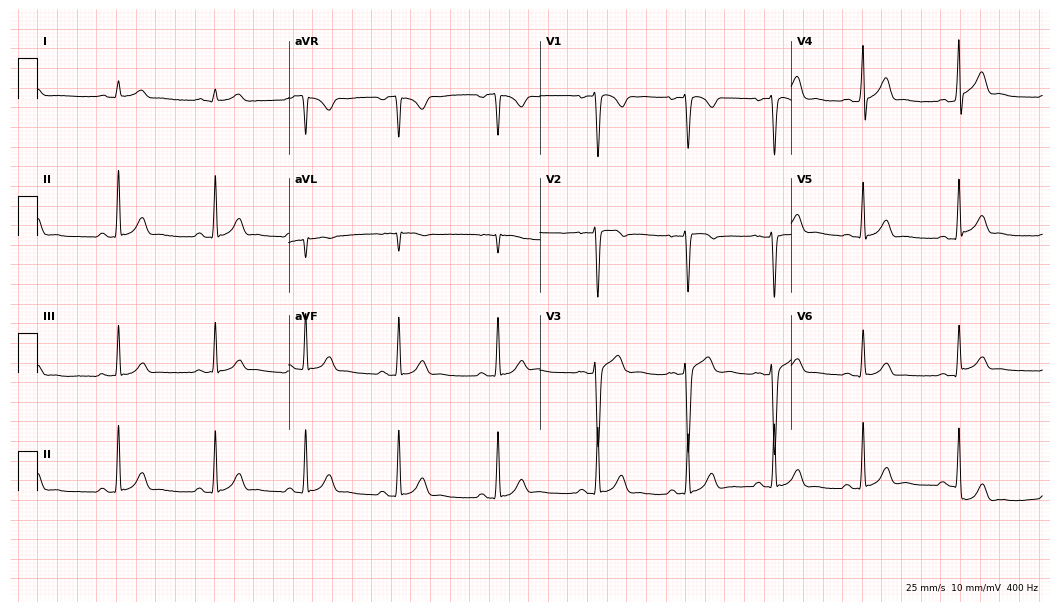
ECG (10.2-second recording at 400 Hz) — a 24-year-old male. Labelled as a normal ECG.